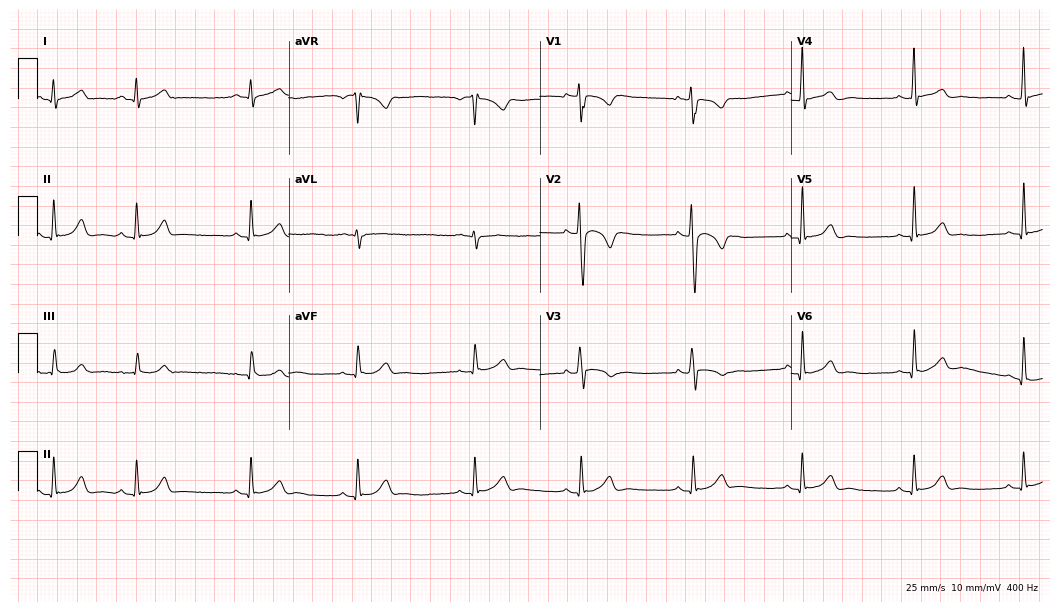
Resting 12-lead electrocardiogram. Patient: a 24-year-old male. None of these six findings is recorded: first-degree AV block, right bundle branch block, left bundle branch block, sinus bradycardia, atrial fibrillation, sinus tachycardia. Only these six findings were labelled.